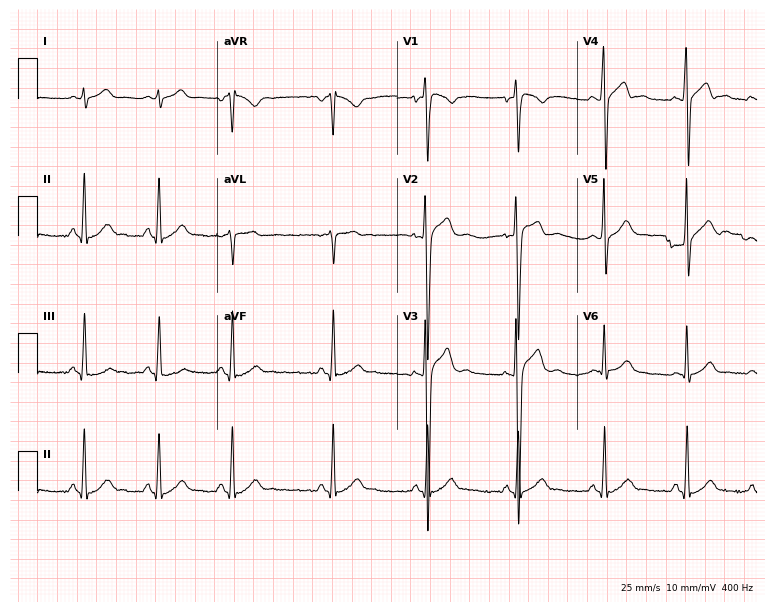
ECG — a male patient, 17 years old. Screened for six findings — first-degree AV block, right bundle branch block, left bundle branch block, sinus bradycardia, atrial fibrillation, sinus tachycardia — none is recorded.